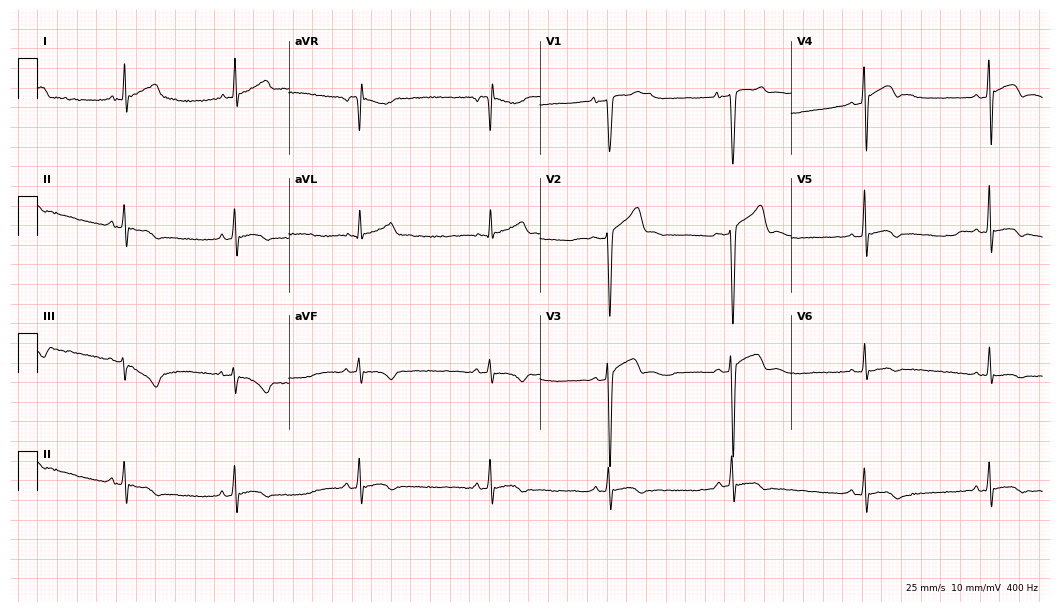
Standard 12-lead ECG recorded from a 22-year-old man. None of these six findings is recorded: first-degree AV block, right bundle branch block (RBBB), left bundle branch block (LBBB), sinus bradycardia, atrial fibrillation (AF), sinus tachycardia. Other findings, if any, are not listed.